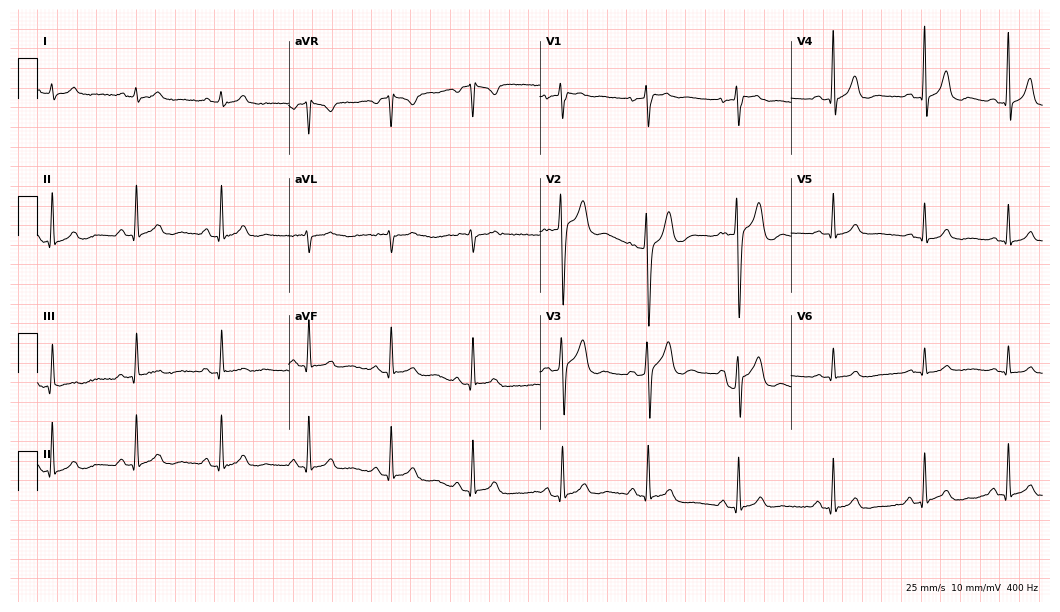
Standard 12-lead ECG recorded from a male, 29 years old (10.2-second recording at 400 Hz). Read as a normal ECG.